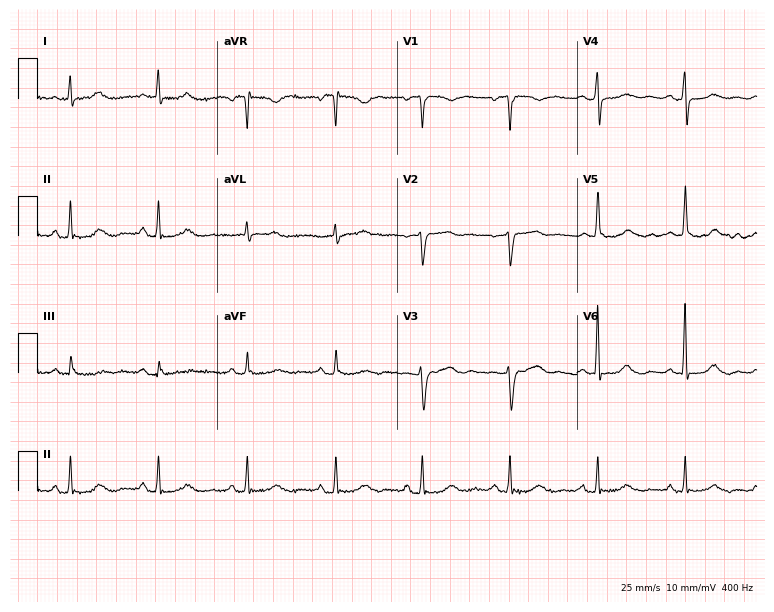
12-lead ECG (7.3-second recording at 400 Hz) from a female patient, 73 years old. Screened for six findings — first-degree AV block, right bundle branch block (RBBB), left bundle branch block (LBBB), sinus bradycardia, atrial fibrillation (AF), sinus tachycardia — none is recorded.